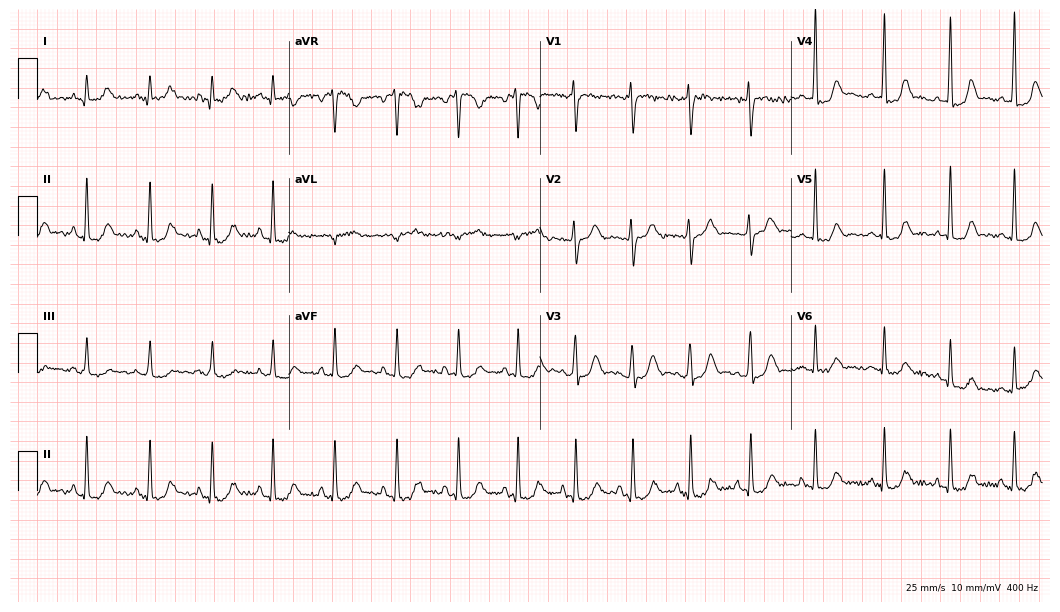
Resting 12-lead electrocardiogram. Patient: a 43-year-old male. Read as a normal ECG.